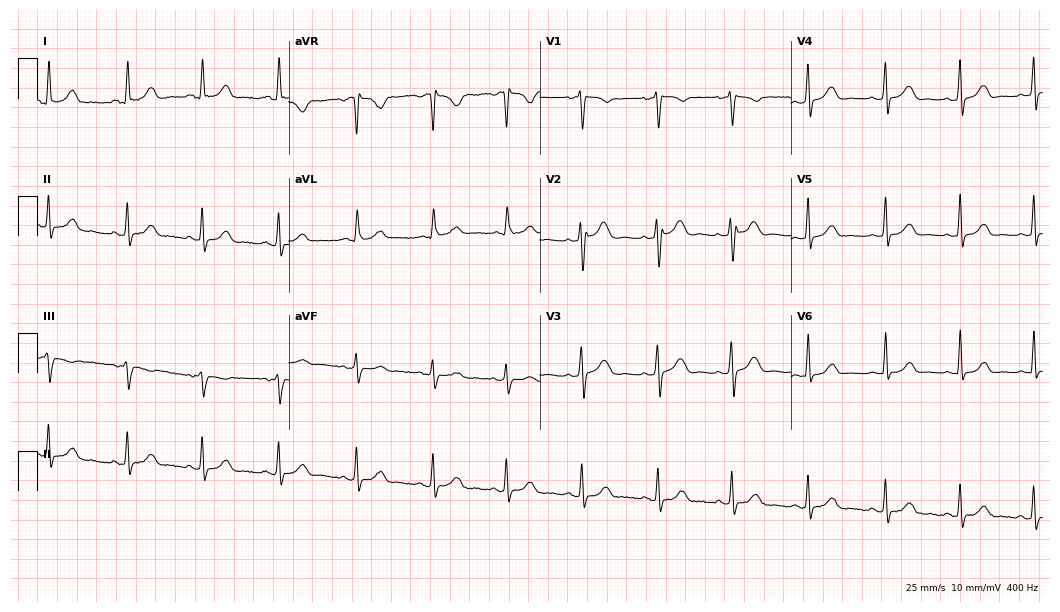
ECG (10.2-second recording at 400 Hz) — a 42-year-old woman. Labelled as a normal ECG.